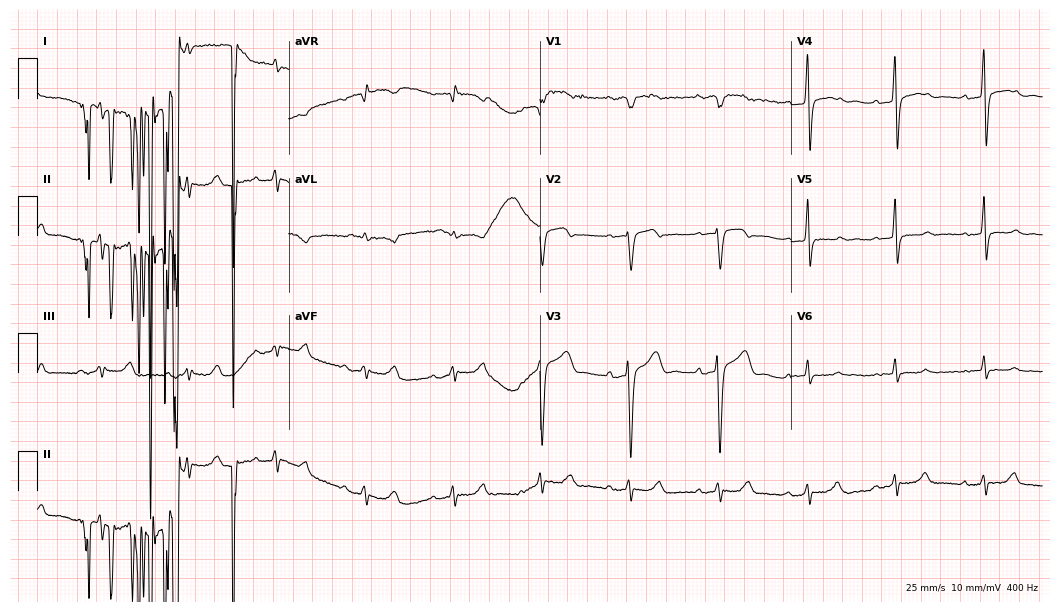
Electrocardiogram, a man, 67 years old. Of the six screened findings (first-degree AV block, right bundle branch block, left bundle branch block, sinus bradycardia, atrial fibrillation, sinus tachycardia), none is recorded.